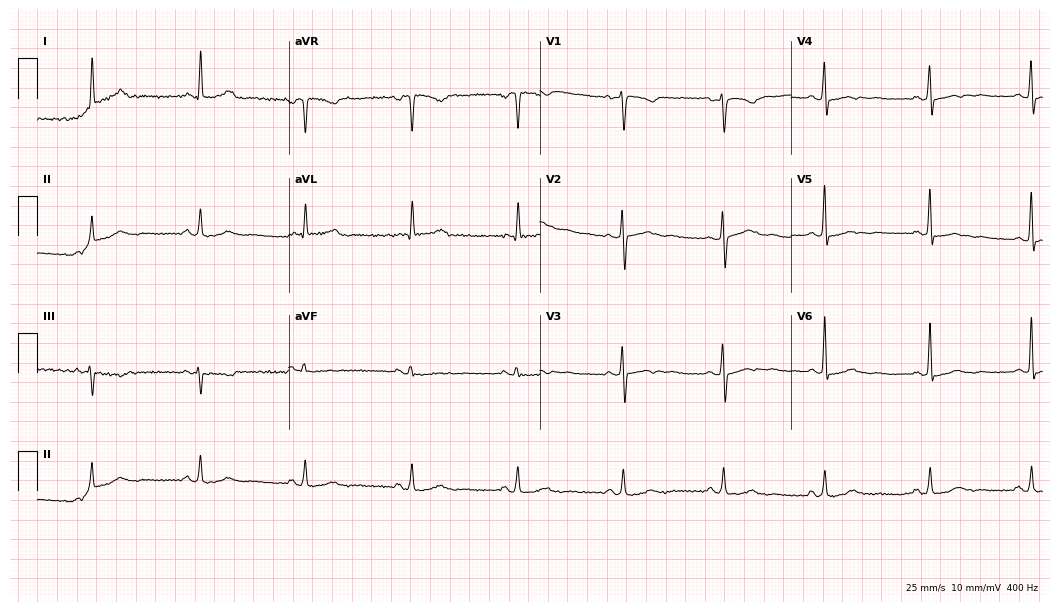
Resting 12-lead electrocardiogram. Patient: a 38-year-old female. None of these six findings is recorded: first-degree AV block, right bundle branch block, left bundle branch block, sinus bradycardia, atrial fibrillation, sinus tachycardia. Other findings, if any, are not listed.